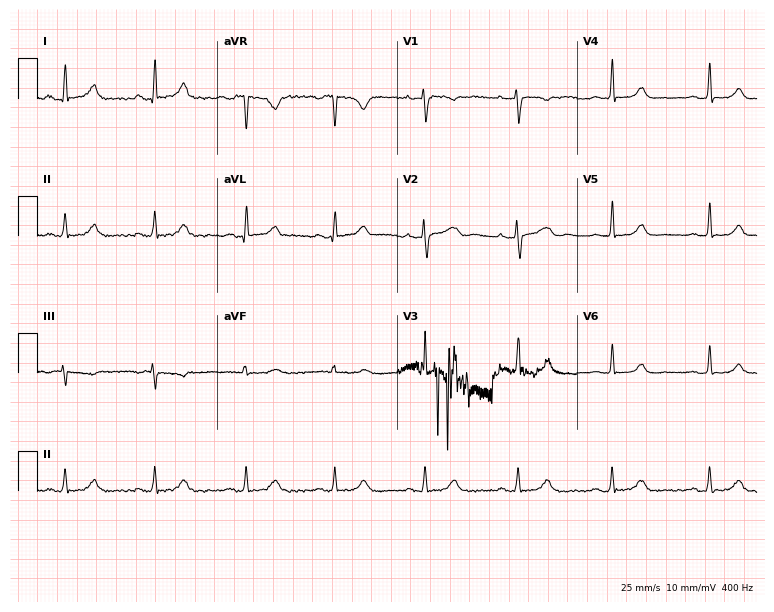
12-lead ECG from a female patient, 33 years old. Recorded interpretation: within normal limits.